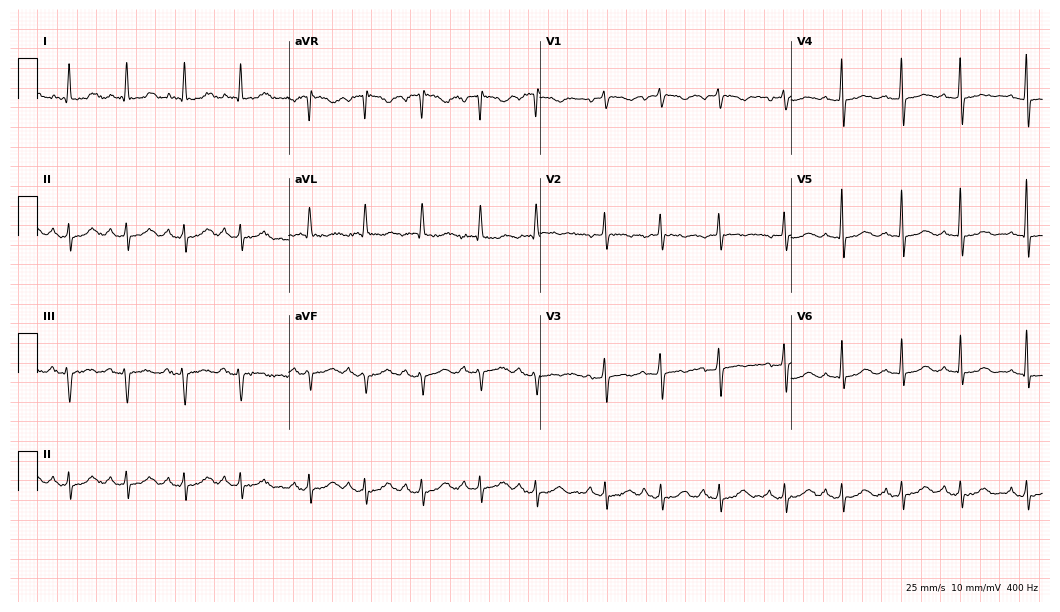
Electrocardiogram, an 85-year-old female. Overall reading on record: normal ECG.